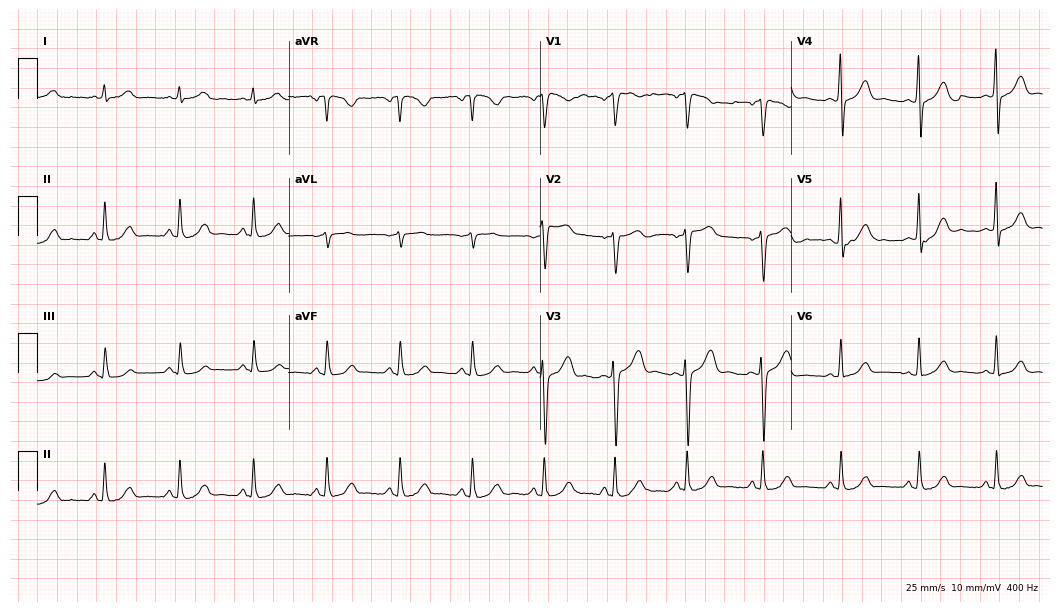
Standard 12-lead ECG recorded from a 44-year-old woman (10.2-second recording at 400 Hz). Read as a normal ECG.